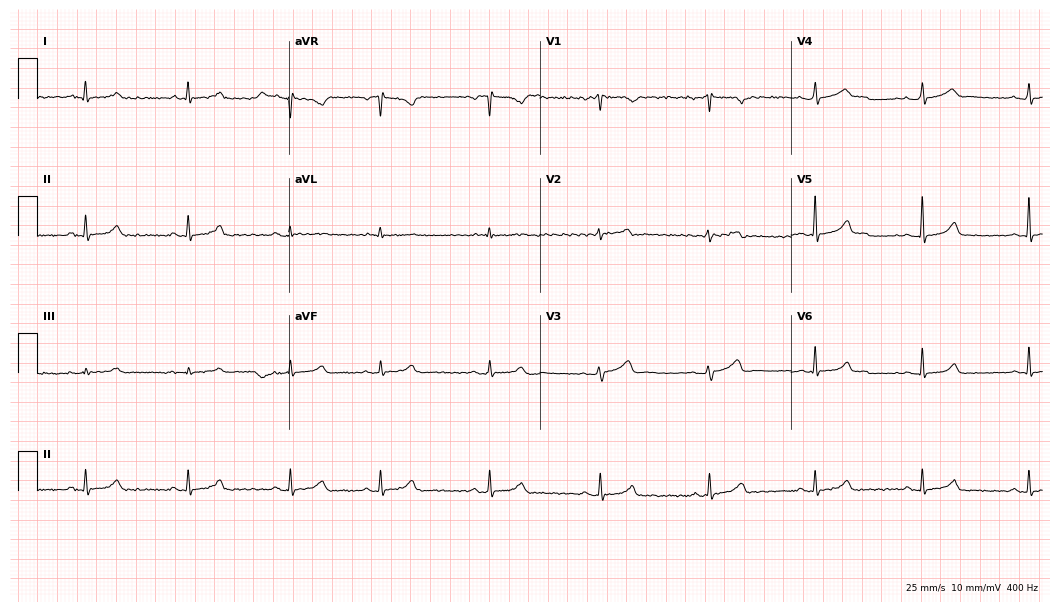
Standard 12-lead ECG recorded from a female, 33 years old (10.2-second recording at 400 Hz). None of these six findings is recorded: first-degree AV block, right bundle branch block, left bundle branch block, sinus bradycardia, atrial fibrillation, sinus tachycardia.